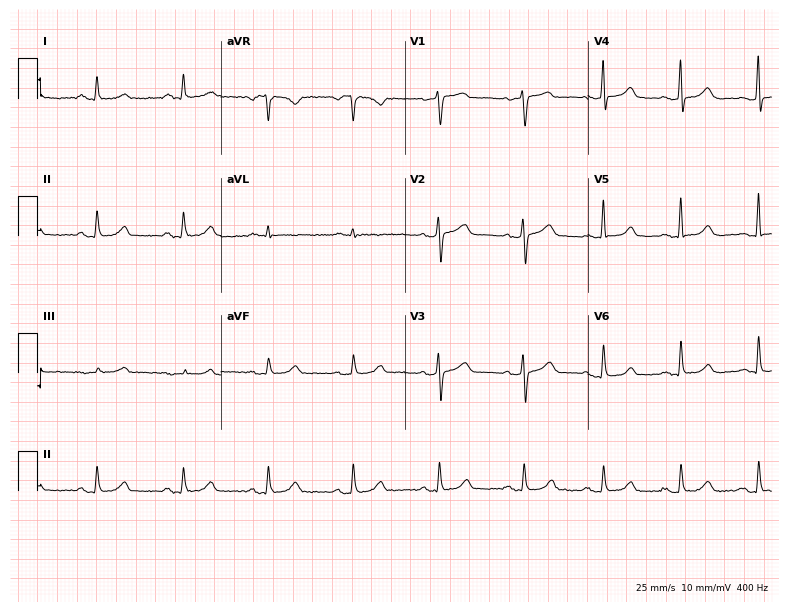
ECG — a woman, 72 years old. Labelled as a normal ECG.